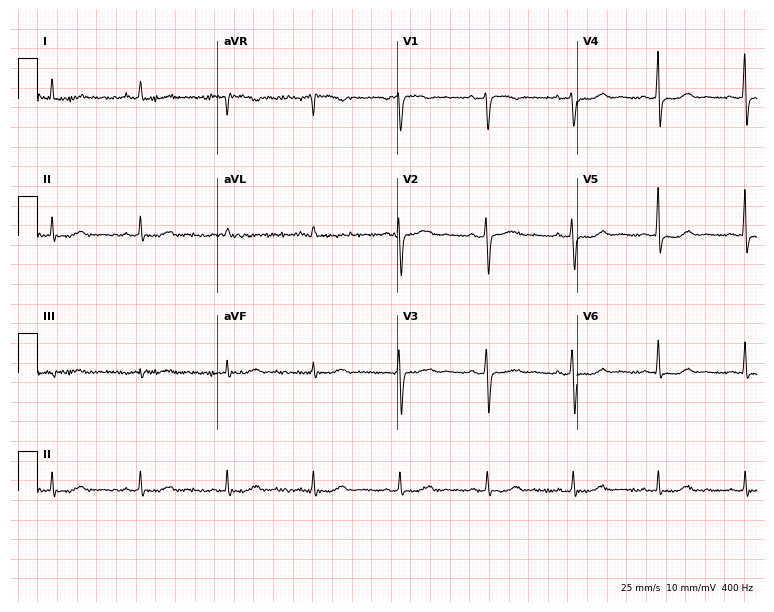
12-lead ECG from a 65-year-old female. Screened for six findings — first-degree AV block, right bundle branch block, left bundle branch block, sinus bradycardia, atrial fibrillation, sinus tachycardia — none is recorded. Only these six findings were labelled.